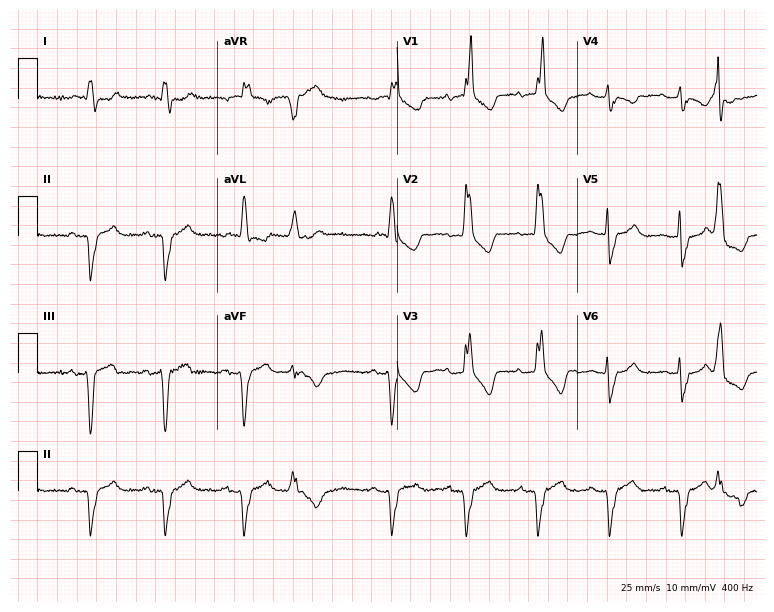
Resting 12-lead electrocardiogram. Patient: an 85-year-old woman. The tracing shows right bundle branch block.